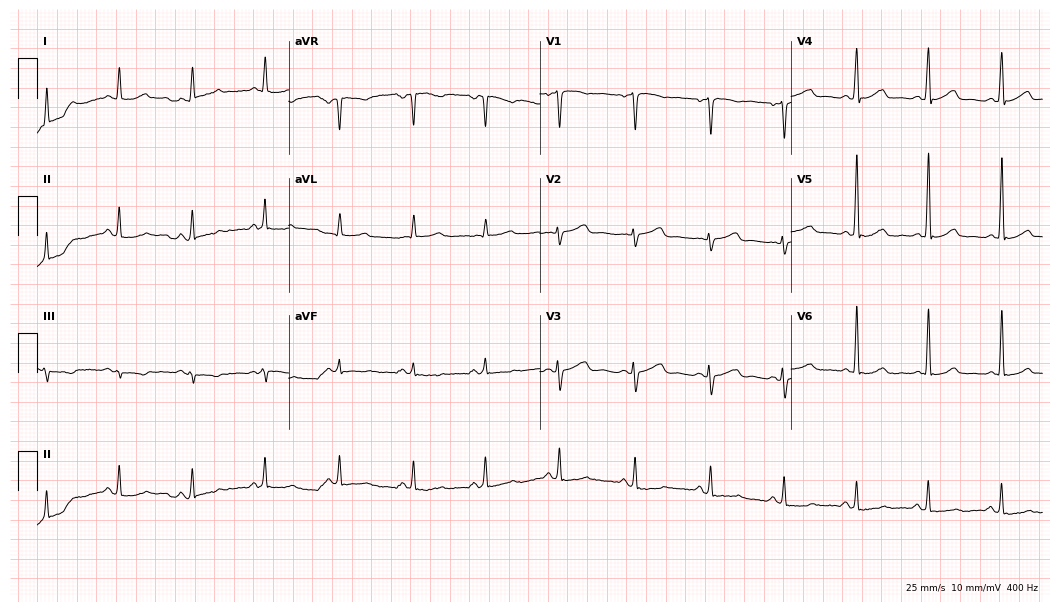
Resting 12-lead electrocardiogram (10.2-second recording at 400 Hz). Patient: a 56-year-old woman. Read as a normal ECG.